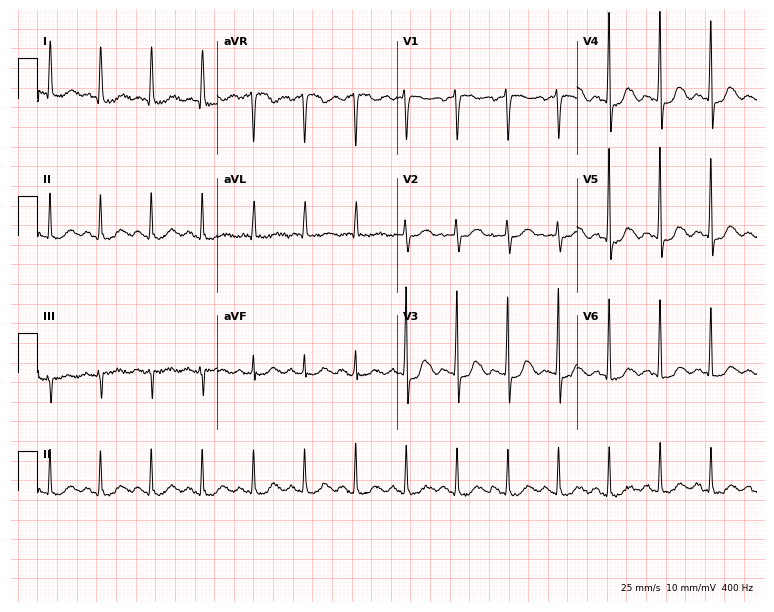
12-lead ECG (7.3-second recording at 400 Hz) from a 65-year-old female. Findings include sinus tachycardia (a sinus rate of 100 beats per minute or more).